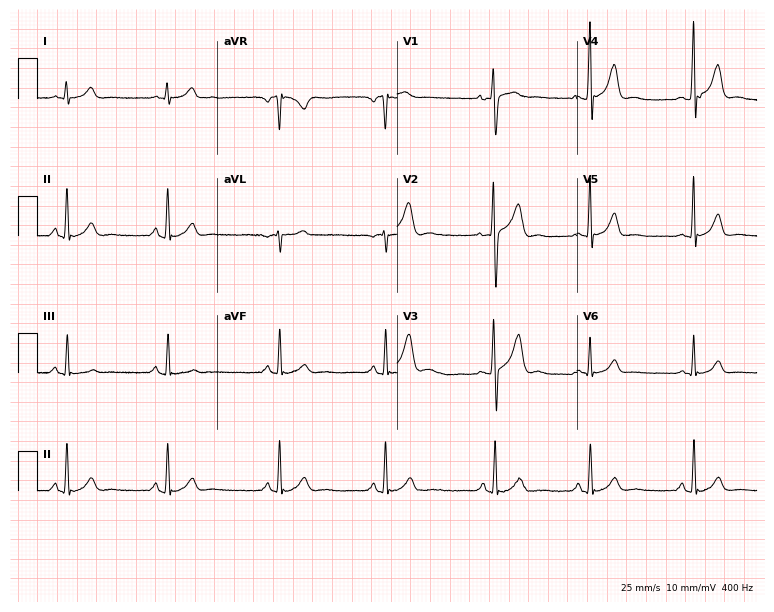
12-lead ECG from a 21-year-old man (7.3-second recording at 400 Hz). No first-degree AV block, right bundle branch block (RBBB), left bundle branch block (LBBB), sinus bradycardia, atrial fibrillation (AF) or sinus tachycardia recorded for this tracing.